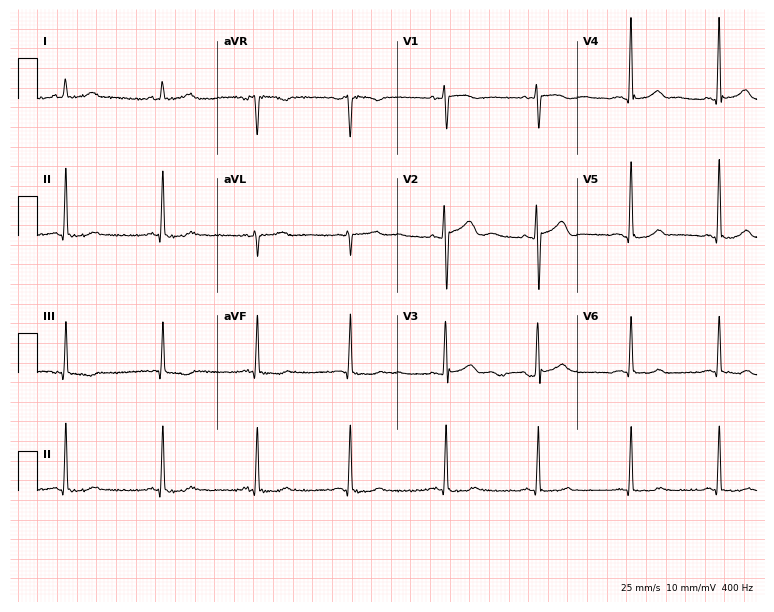
ECG — a 47-year-old female. Screened for six findings — first-degree AV block, right bundle branch block (RBBB), left bundle branch block (LBBB), sinus bradycardia, atrial fibrillation (AF), sinus tachycardia — none is recorded. Findings outside these six are not listed.